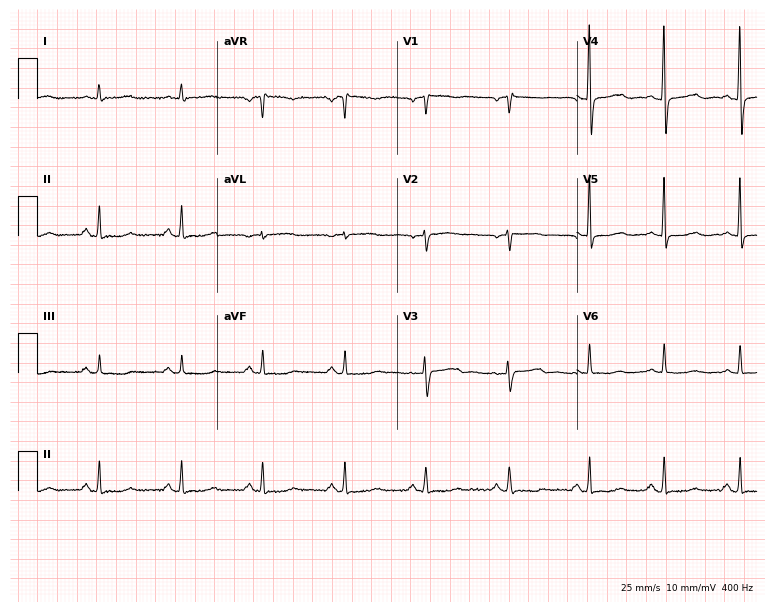
Standard 12-lead ECG recorded from a female patient, 65 years old. None of these six findings is recorded: first-degree AV block, right bundle branch block, left bundle branch block, sinus bradycardia, atrial fibrillation, sinus tachycardia. Other findings, if any, are not listed.